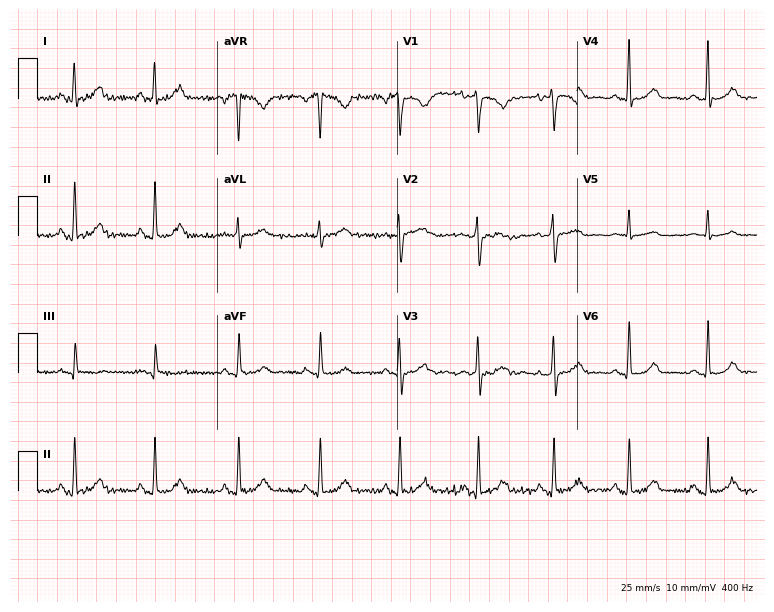
Electrocardiogram, a female patient, 27 years old. Overall reading on record: normal ECG.